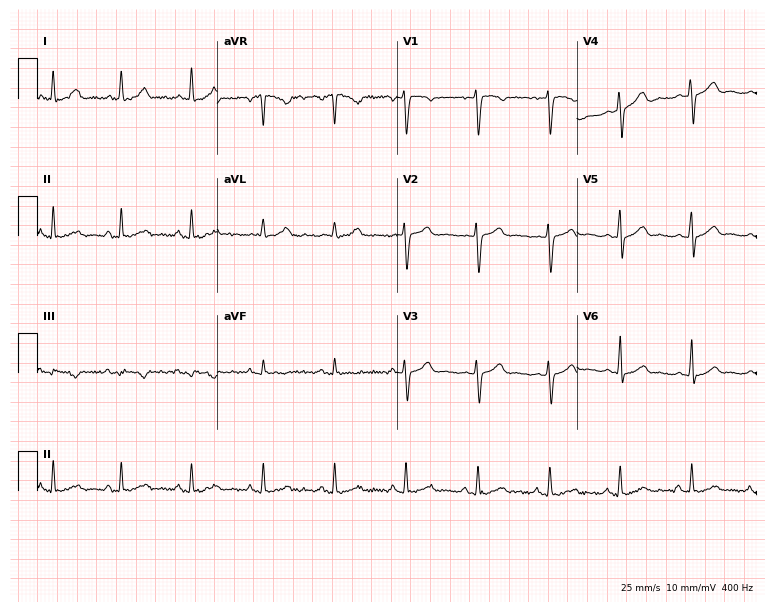
12-lead ECG from a woman, 33 years old. No first-degree AV block, right bundle branch block, left bundle branch block, sinus bradycardia, atrial fibrillation or sinus tachycardia recorded for this tracing.